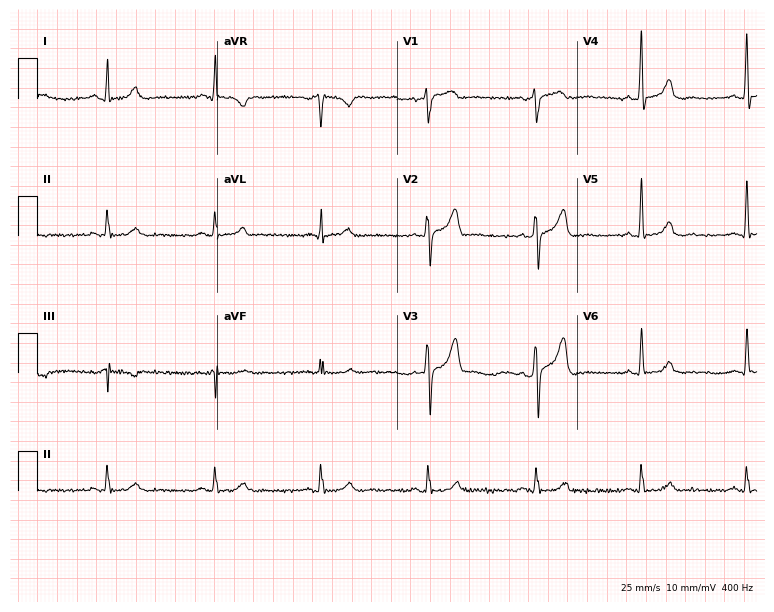
Electrocardiogram (7.3-second recording at 400 Hz), a male, 54 years old. Overall reading on record: normal ECG.